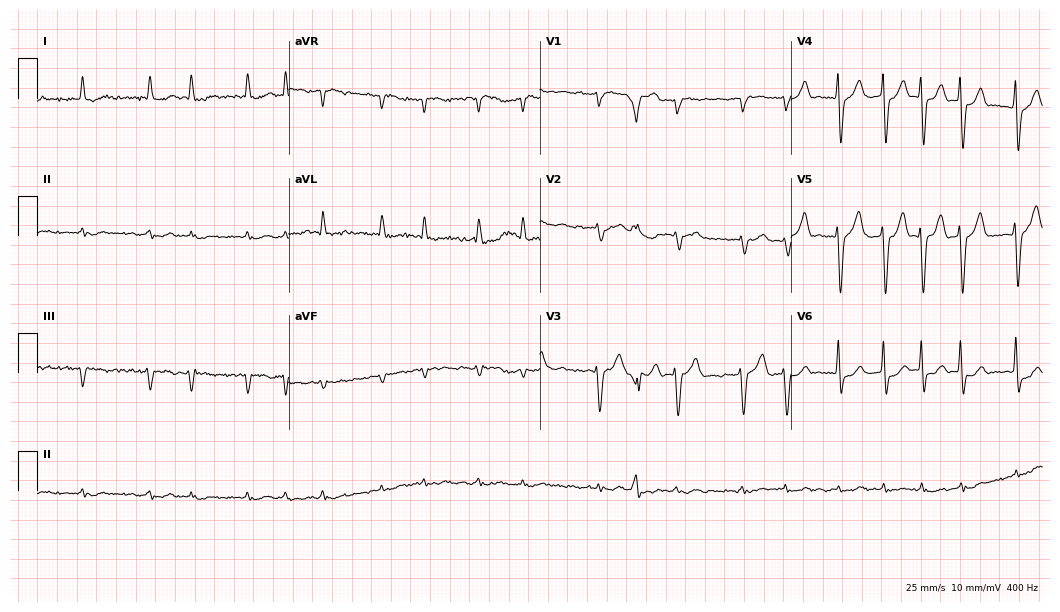
Electrocardiogram, a male, 85 years old. Interpretation includes atrial fibrillation (AF).